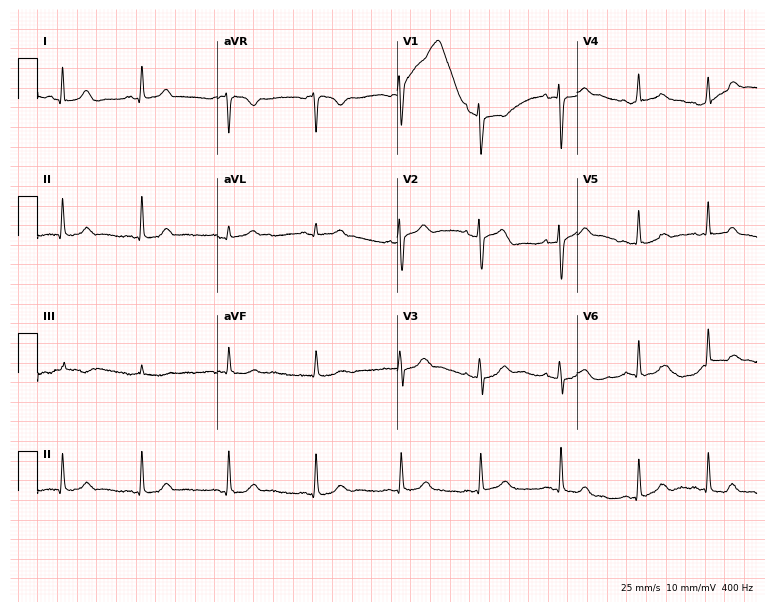
ECG — a 27-year-old female. Labelled as a normal ECG.